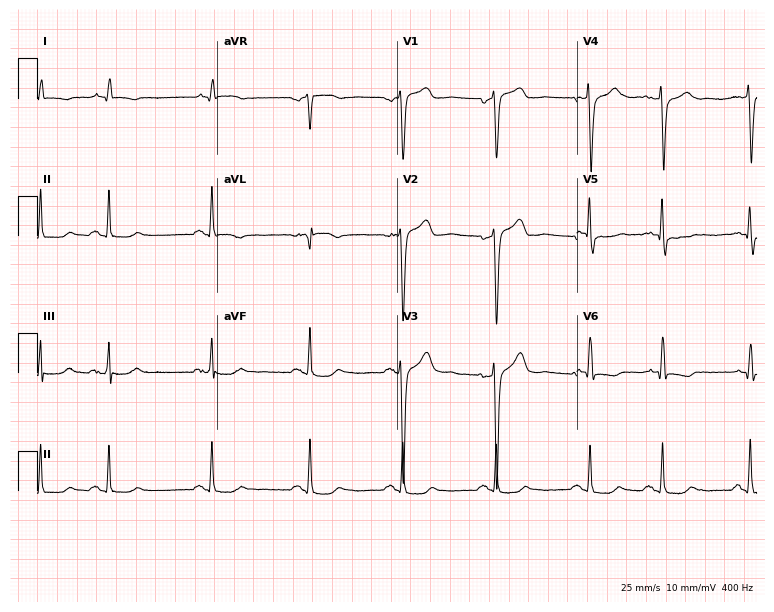
12-lead ECG from a male patient, 76 years old. No first-degree AV block, right bundle branch block, left bundle branch block, sinus bradycardia, atrial fibrillation or sinus tachycardia recorded for this tracing.